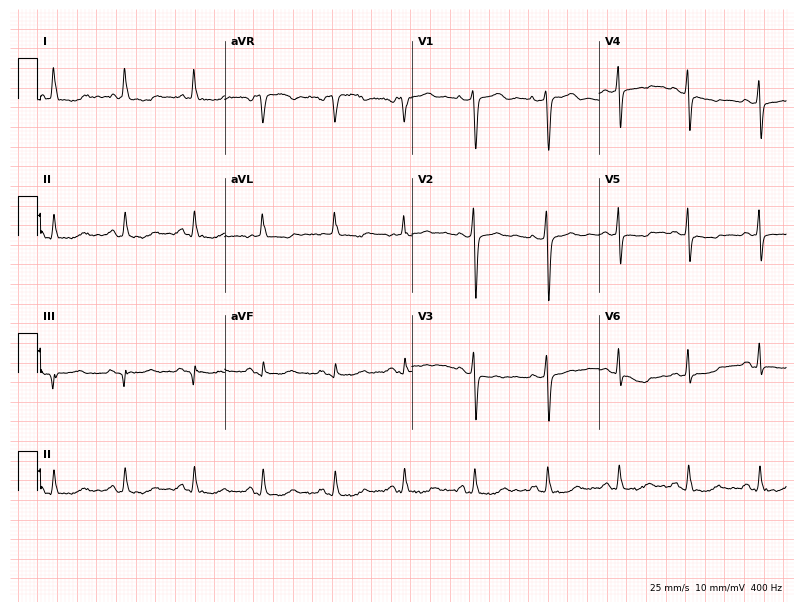
12-lead ECG (7.6-second recording at 400 Hz) from a woman, 64 years old. Screened for six findings — first-degree AV block, right bundle branch block (RBBB), left bundle branch block (LBBB), sinus bradycardia, atrial fibrillation (AF), sinus tachycardia — none is recorded.